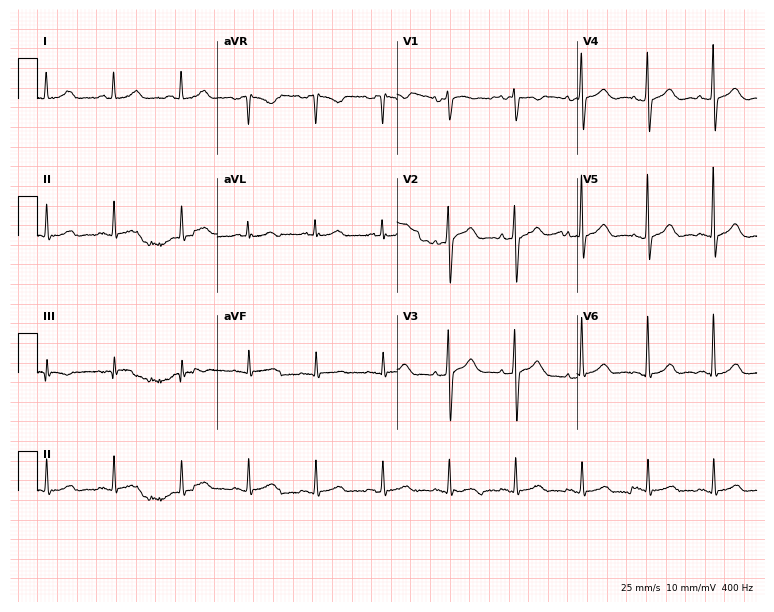
ECG — a woman, 58 years old. Screened for six findings — first-degree AV block, right bundle branch block, left bundle branch block, sinus bradycardia, atrial fibrillation, sinus tachycardia — none is recorded. Only these six findings were labelled.